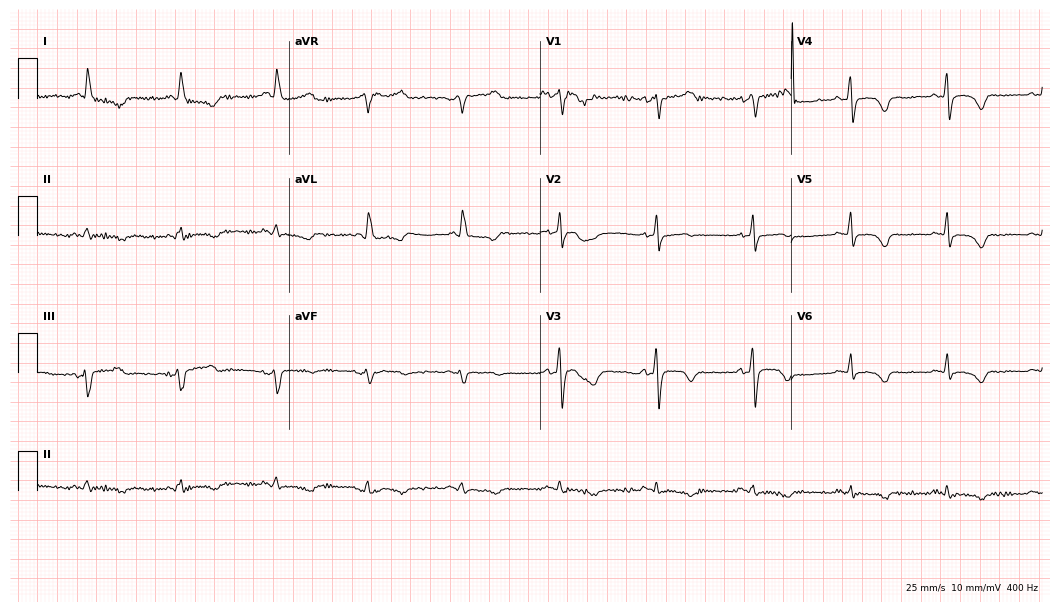
ECG — a woman, 79 years old. Screened for six findings — first-degree AV block, right bundle branch block, left bundle branch block, sinus bradycardia, atrial fibrillation, sinus tachycardia — none is recorded. Findings outside these six are not listed.